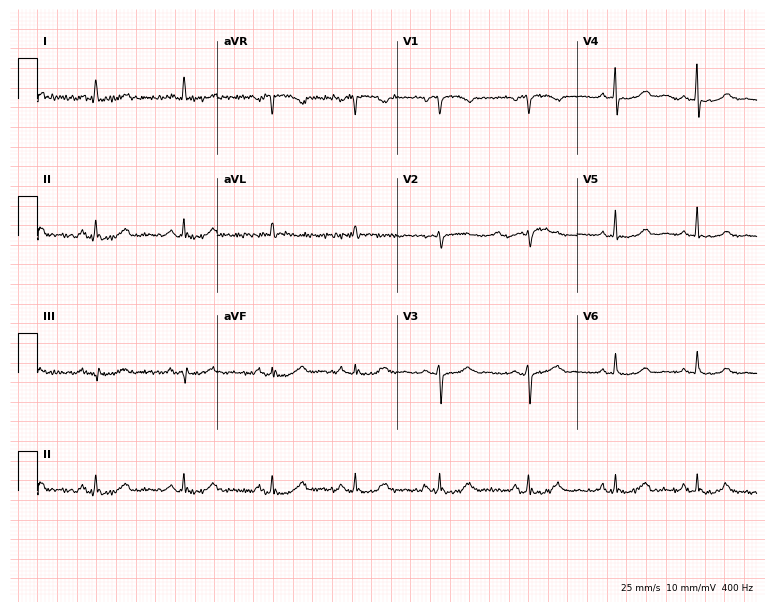
Electrocardiogram, a woman, 51 years old. Overall reading on record: normal ECG.